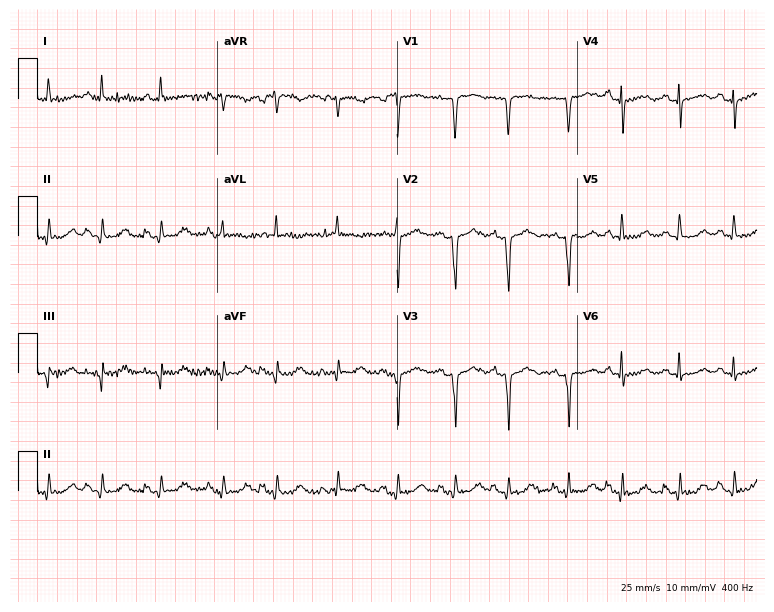
Electrocardiogram (7.3-second recording at 400 Hz), an 84-year-old female. Of the six screened findings (first-degree AV block, right bundle branch block, left bundle branch block, sinus bradycardia, atrial fibrillation, sinus tachycardia), none is recorded.